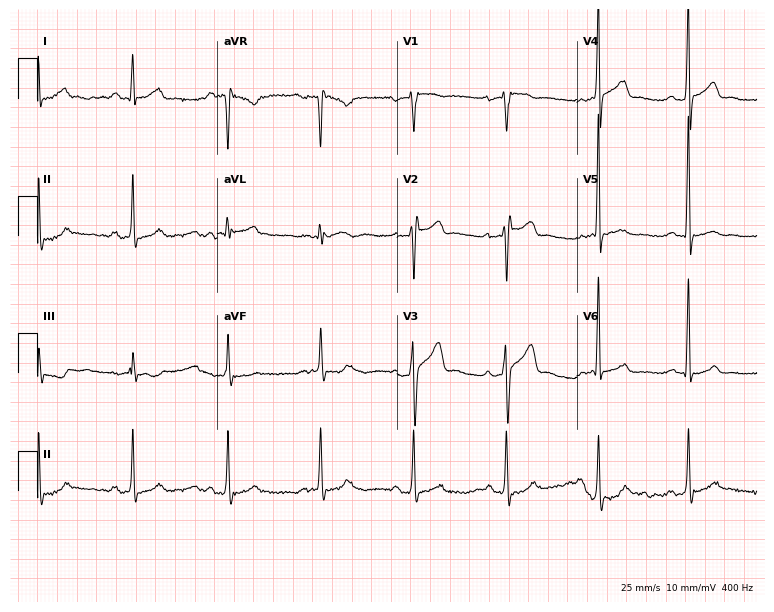
12-lead ECG from a 44-year-old man (7.3-second recording at 400 Hz). No first-degree AV block, right bundle branch block, left bundle branch block, sinus bradycardia, atrial fibrillation or sinus tachycardia recorded for this tracing.